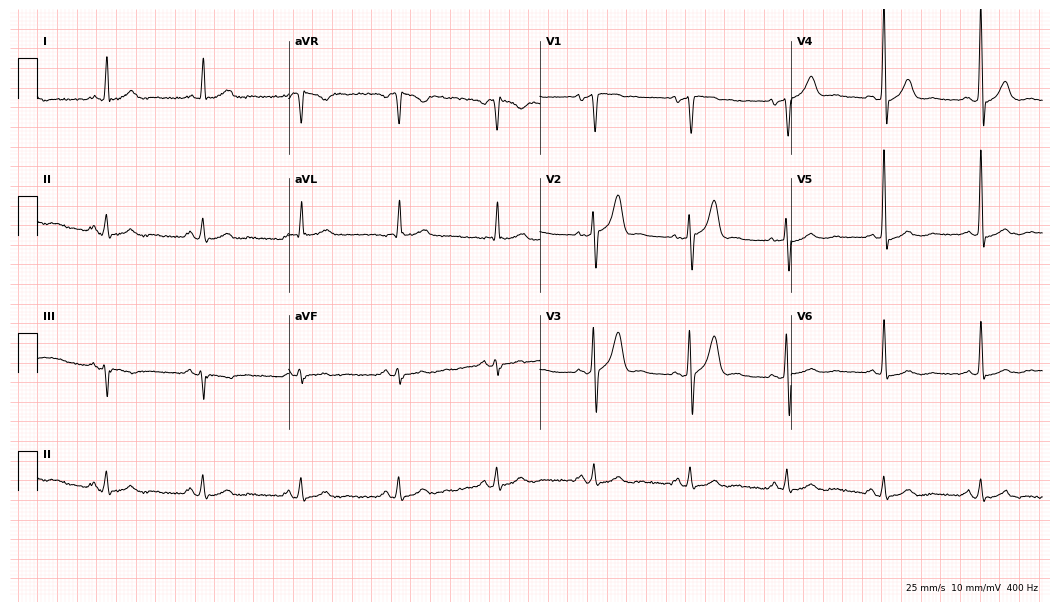
Electrocardiogram, a 35-year-old male. Of the six screened findings (first-degree AV block, right bundle branch block, left bundle branch block, sinus bradycardia, atrial fibrillation, sinus tachycardia), none is recorded. Only these six findings were labelled.